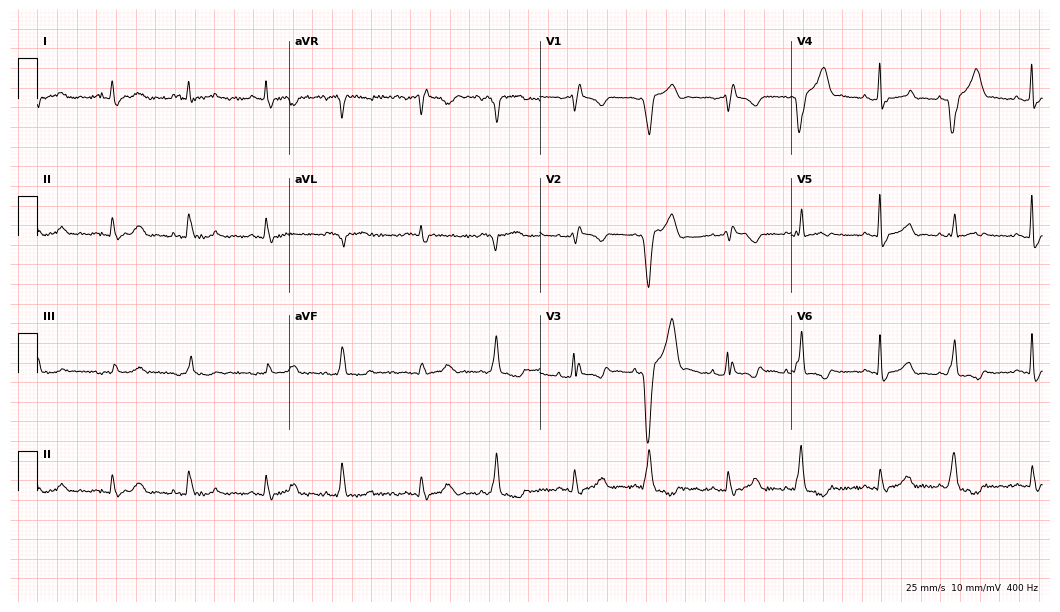
12-lead ECG from a male patient, 75 years old. Screened for six findings — first-degree AV block, right bundle branch block (RBBB), left bundle branch block (LBBB), sinus bradycardia, atrial fibrillation (AF), sinus tachycardia — none is recorded.